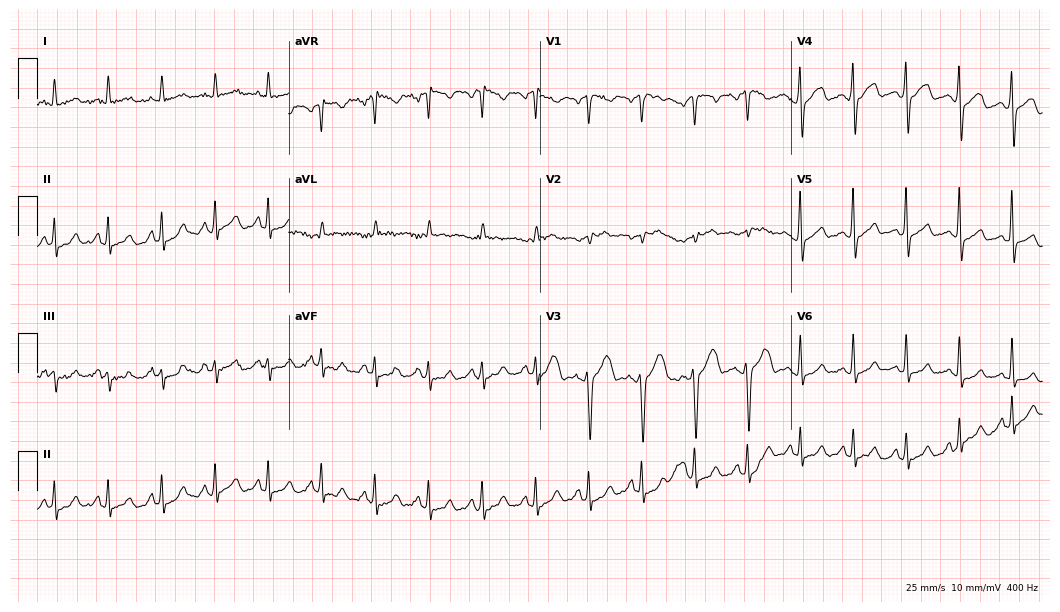
Standard 12-lead ECG recorded from a 61-year-old man. The tracing shows sinus tachycardia (a sinus rate of 100 beats per minute or more).